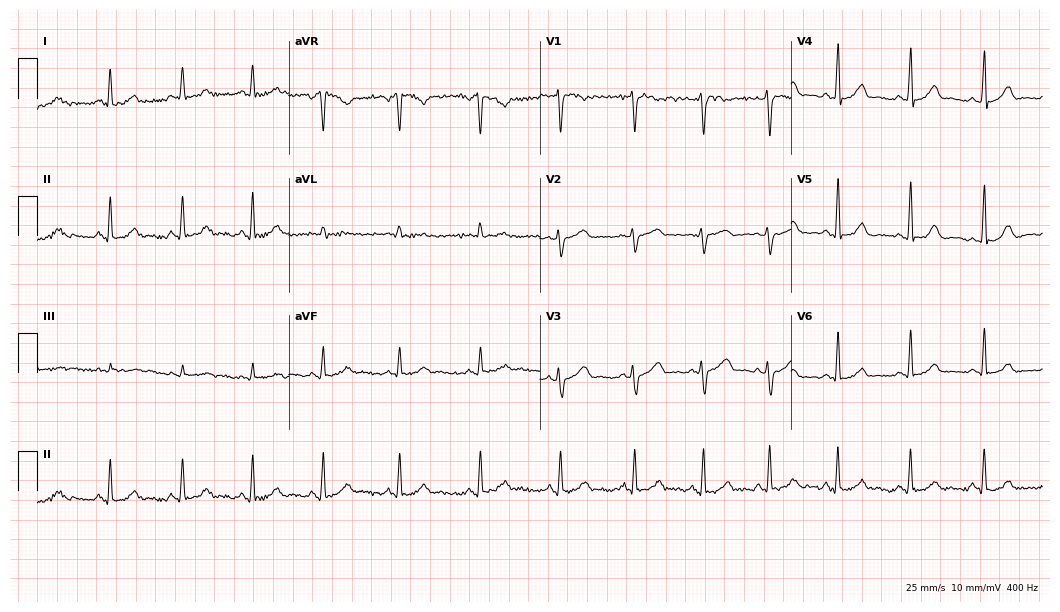
12-lead ECG from a 33-year-old woman. Labelled as a normal ECG.